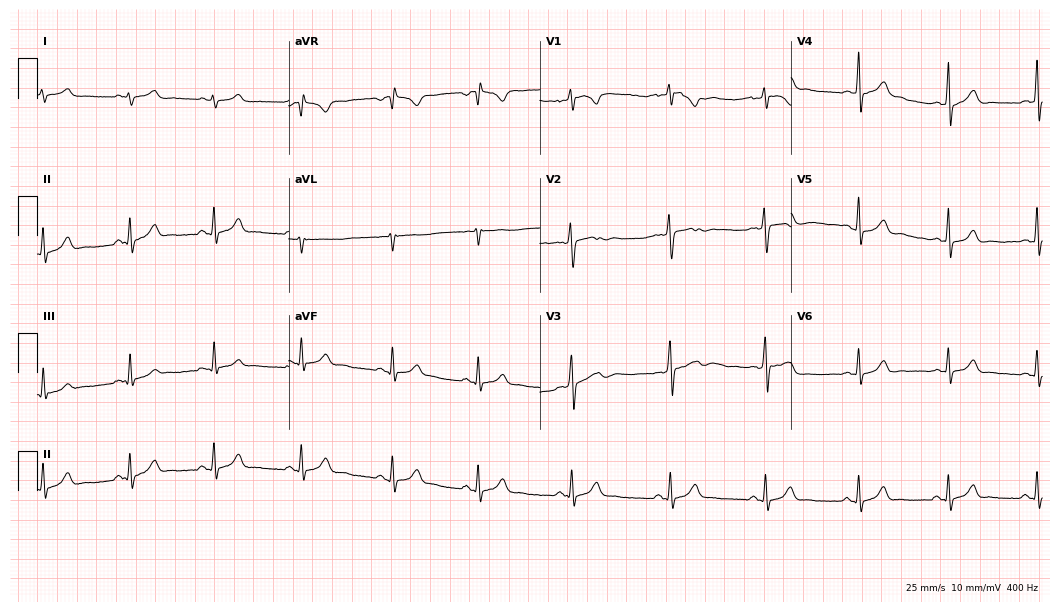
Electrocardiogram, a 29-year-old female patient. Overall reading on record: normal ECG.